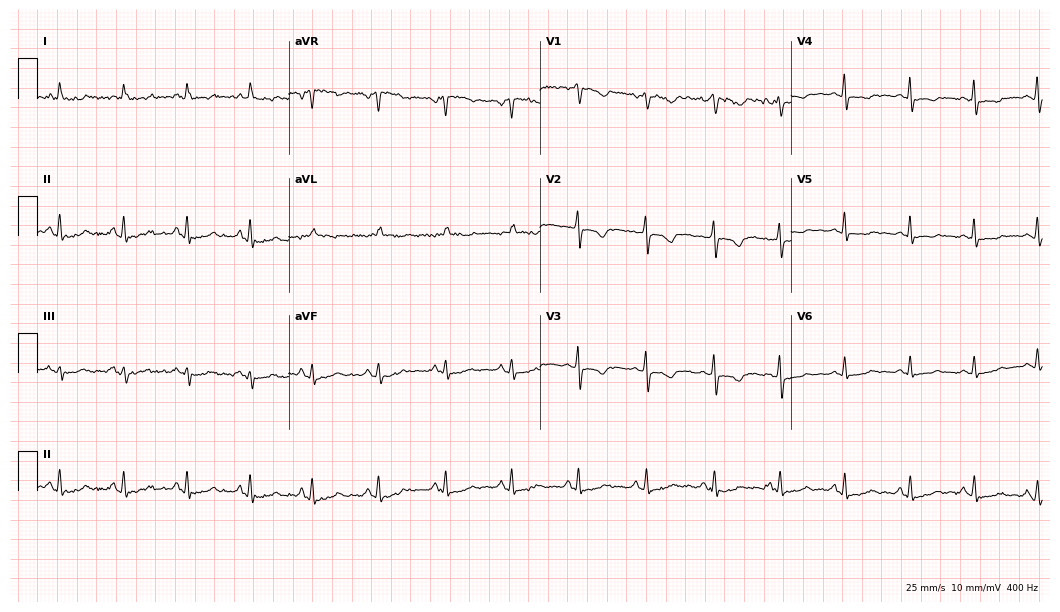
12-lead ECG (10.2-second recording at 400 Hz) from a 48-year-old female patient. Screened for six findings — first-degree AV block, right bundle branch block, left bundle branch block, sinus bradycardia, atrial fibrillation, sinus tachycardia — none is recorded. Only these six findings were labelled.